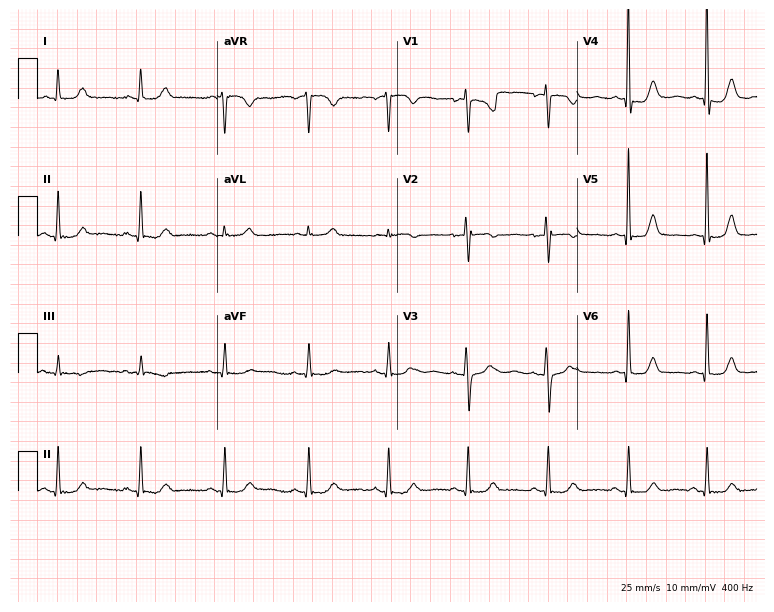
Resting 12-lead electrocardiogram. Patient: a female, 45 years old. Read as a normal ECG.